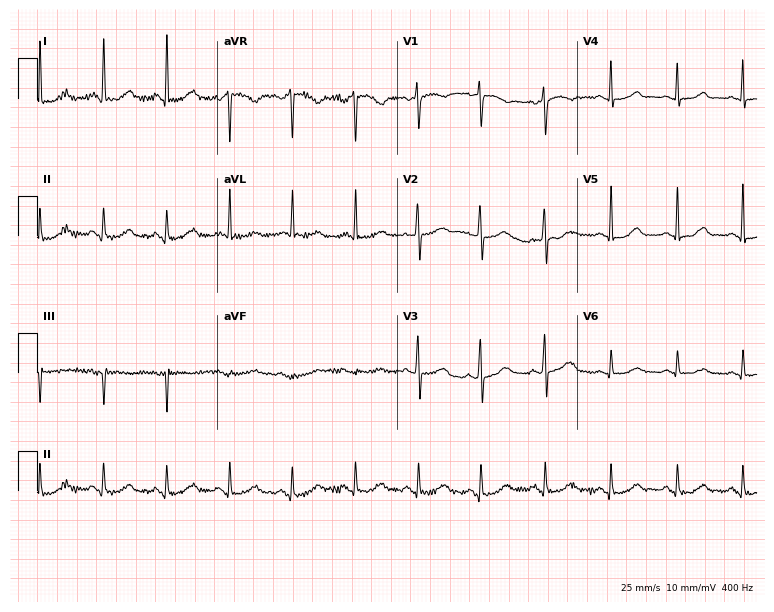
Resting 12-lead electrocardiogram (7.3-second recording at 400 Hz). Patient: a 69-year-old female. Read as a normal ECG.